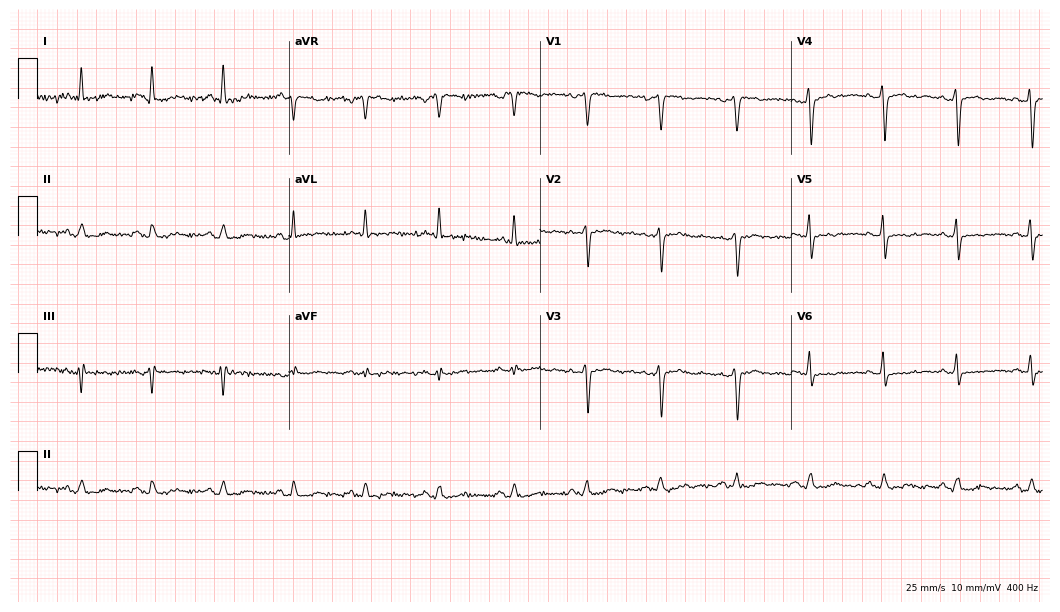
Resting 12-lead electrocardiogram (10.2-second recording at 400 Hz). Patient: a female, 51 years old. None of these six findings is recorded: first-degree AV block, right bundle branch block, left bundle branch block, sinus bradycardia, atrial fibrillation, sinus tachycardia. Findings outside these six are not listed.